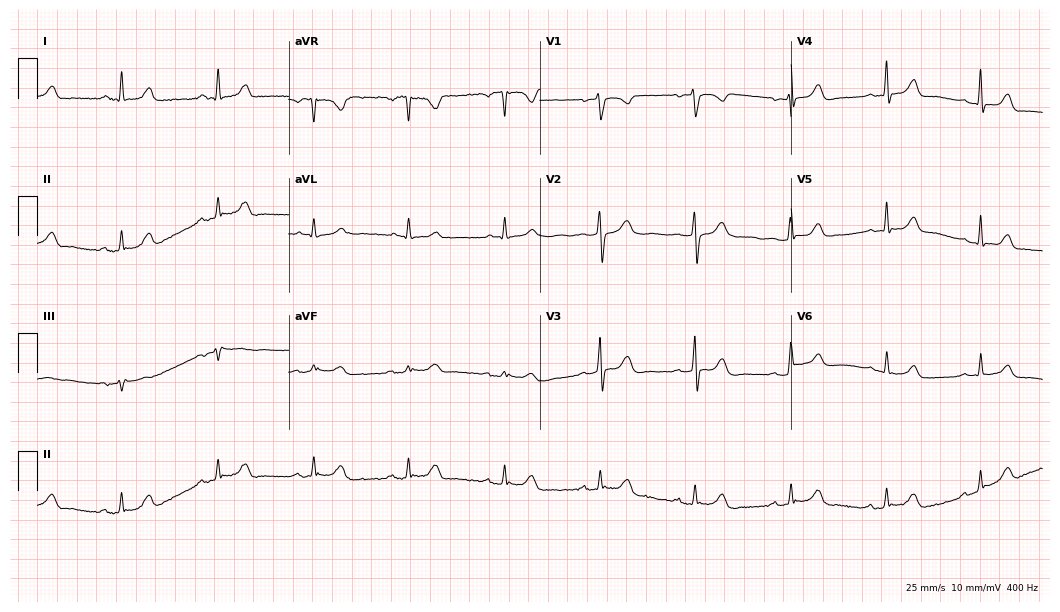
12-lead ECG from a 68-year-old female patient. Recorded interpretation: within normal limits.